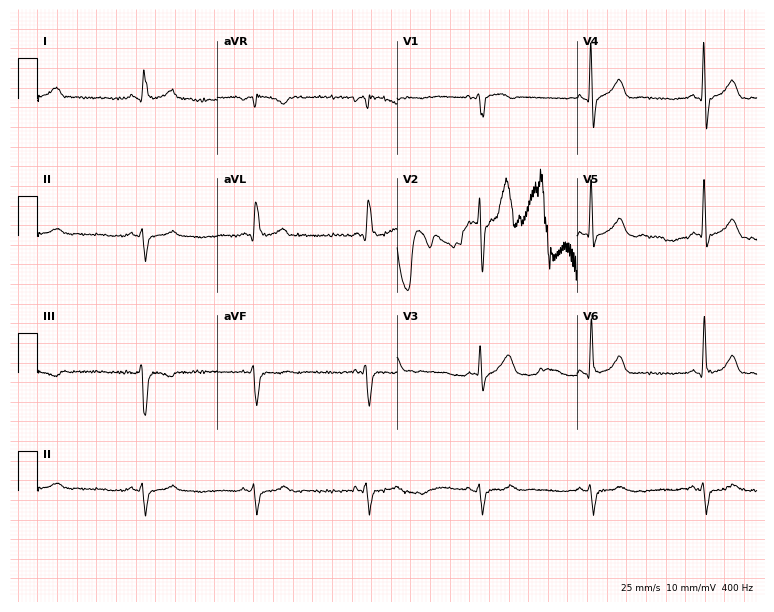
Standard 12-lead ECG recorded from a 69-year-old man. None of these six findings is recorded: first-degree AV block, right bundle branch block (RBBB), left bundle branch block (LBBB), sinus bradycardia, atrial fibrillation (AF), sinus tachycardia.